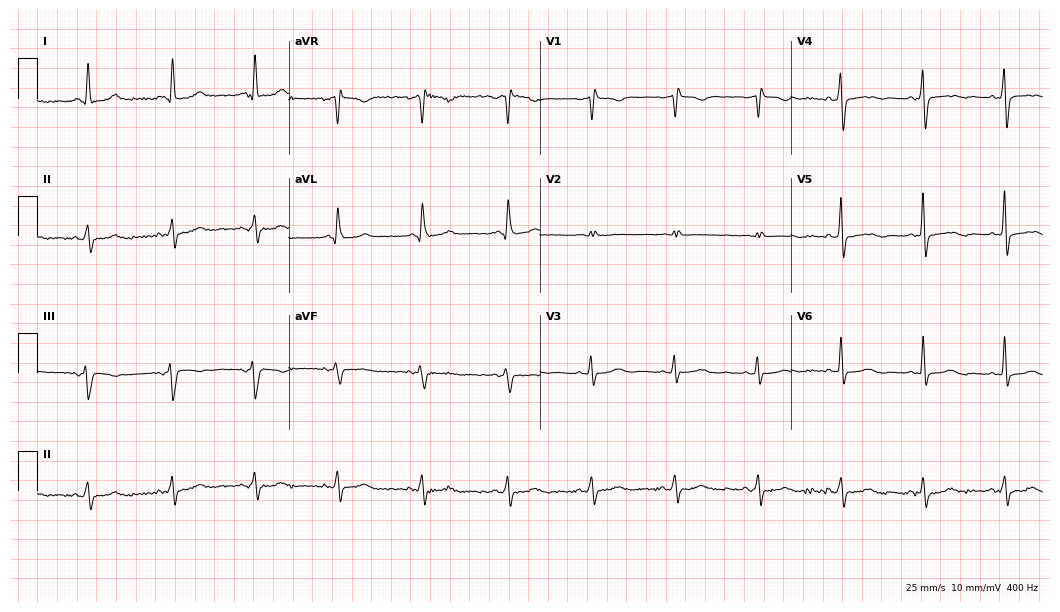
Electrocardiogram, a 66-year-old female patient. Of the six screened findings (first-degree AV block, right bundle branch block, left bundle branch block, sinus bradycardia, atrial fibrillation, sinus tachycardia), none is recorded. Findings outside these six are not listed.